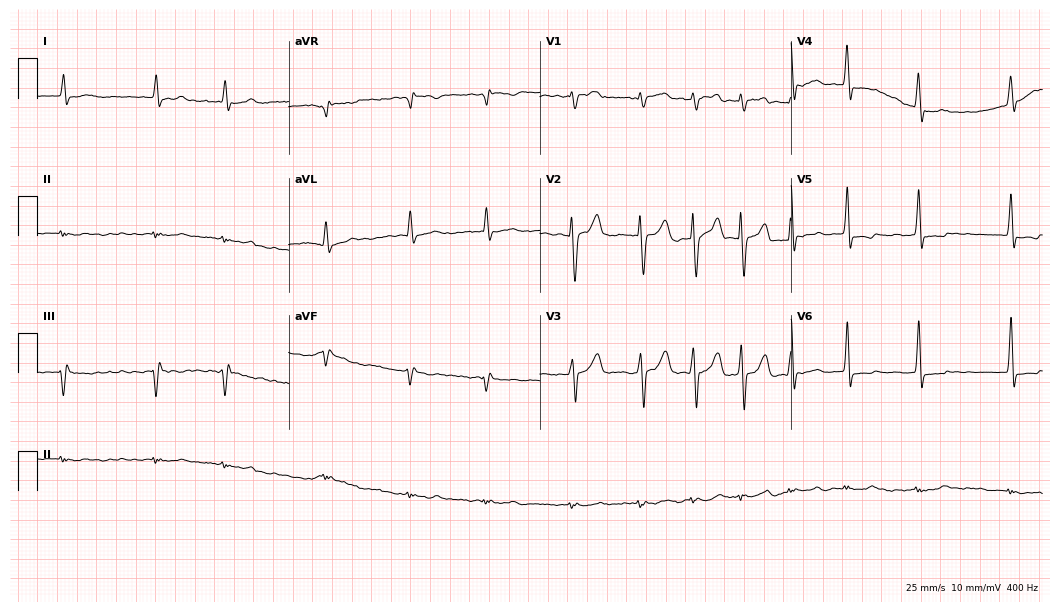
Resting 12-lead electrocardiogram. Patient: a male, 52 years old. The tracing shows atrial fibrillation (AF).